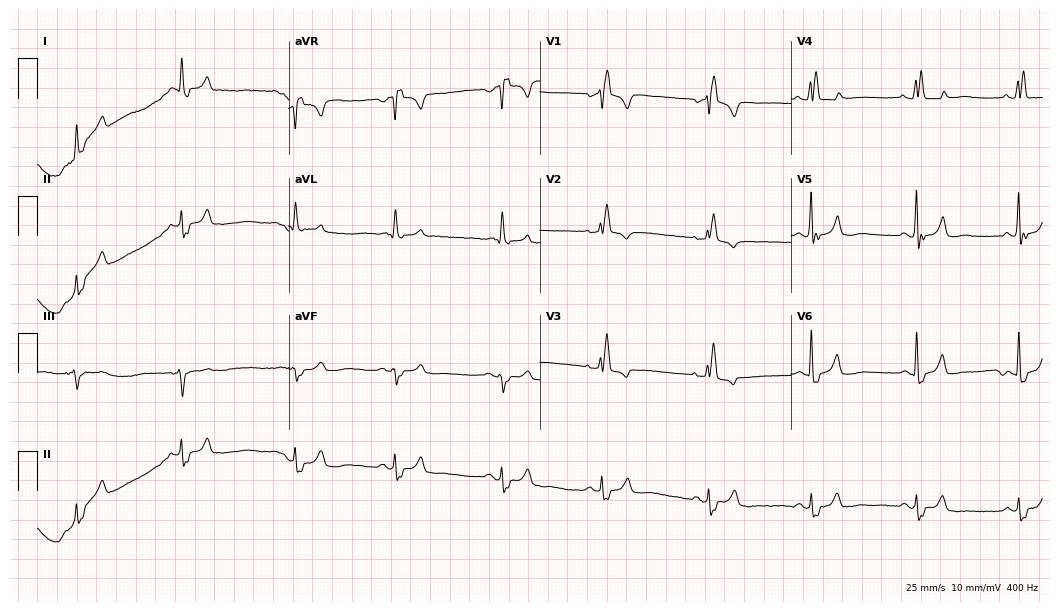
Resting 12-lead electrocardiogram (10.2-second recording at 400 Hz). Patient: an 85-year-old woman. The tracing shows right bundle branch block.